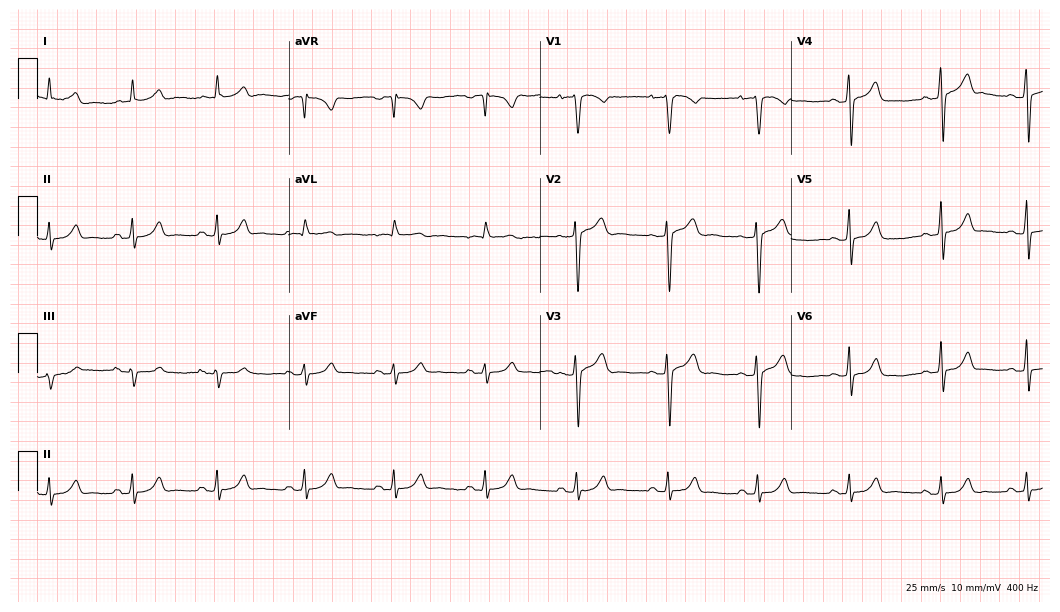
Standard 12-lead ECG recorded from a man, 19 years old (10.2-second recording at 400 Hz). Read as a normal ECG.